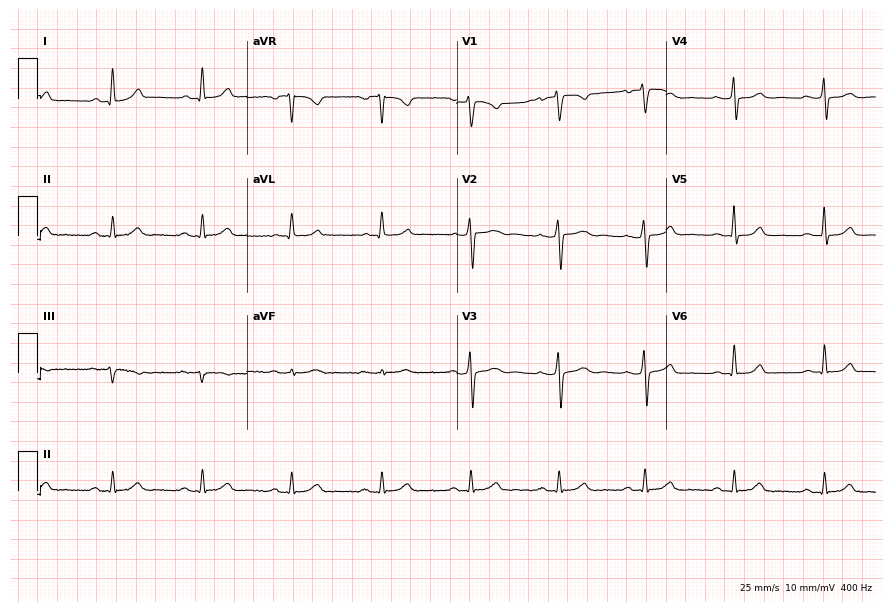
ECG (8.5-second recording at 400 Hz) — a 54-year-old female. Labelled as a normal ECG.